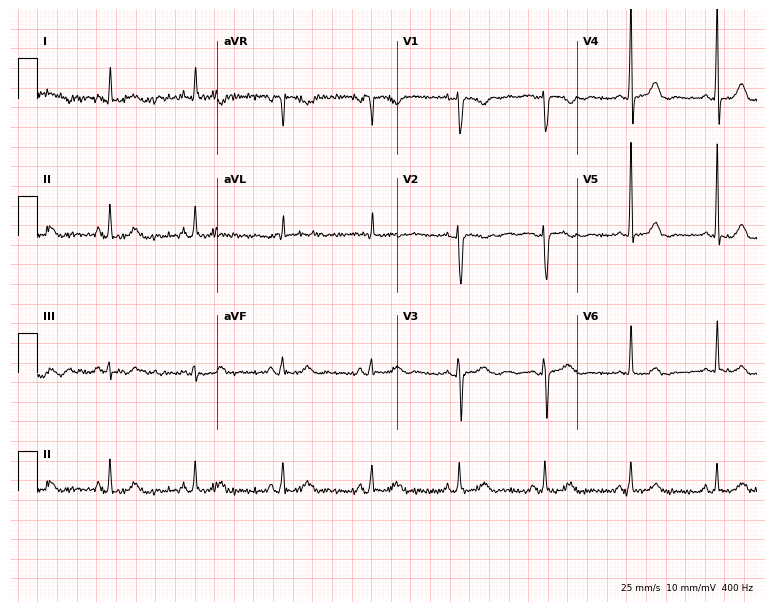
Standard 12-lead ECG recorded from a female, 74 years old. None of these six findings is recorded: first-degree AV block, right bundle branch block, left bundle branch block, sinus bradycardia, atrial fibrillation, sinus tachycardia.